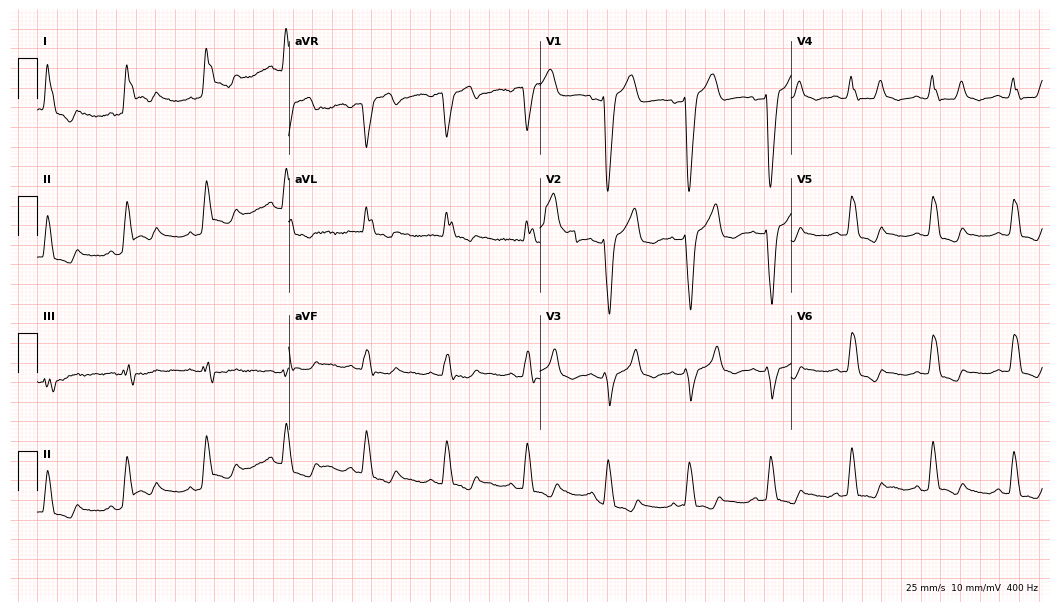
Resting 12-lead electrocardiogram (10.2-second recording at 400 Hz). Patient: a female, 65 years old. The tracing shows left bundle branch block.